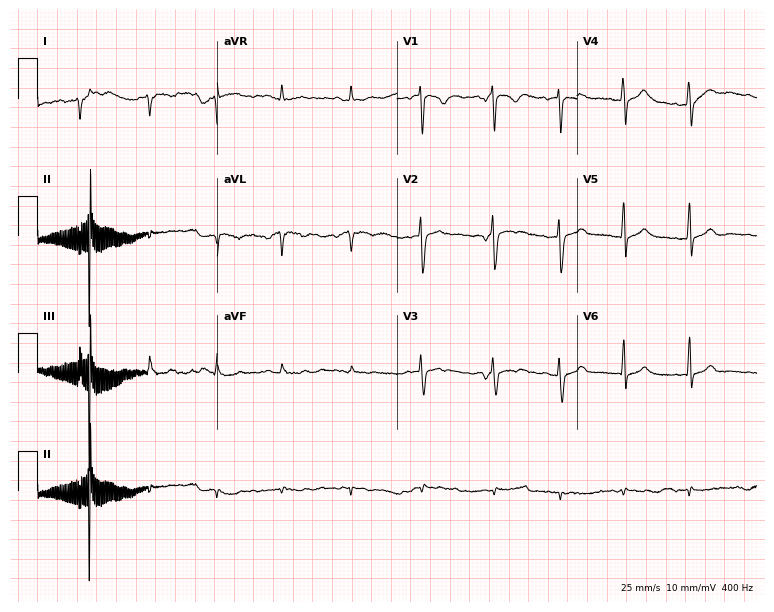
12-lead ECG (7.3-second recording at 400 Hz) from a female patient, 29 years old. Screened for six findings — first-degree AV block, right bundle branch block, left bundle branch block, sinus bradycardia, atrial fibrillation, sinus tachycardia — none is recorded. Findings outside these six are not listed.